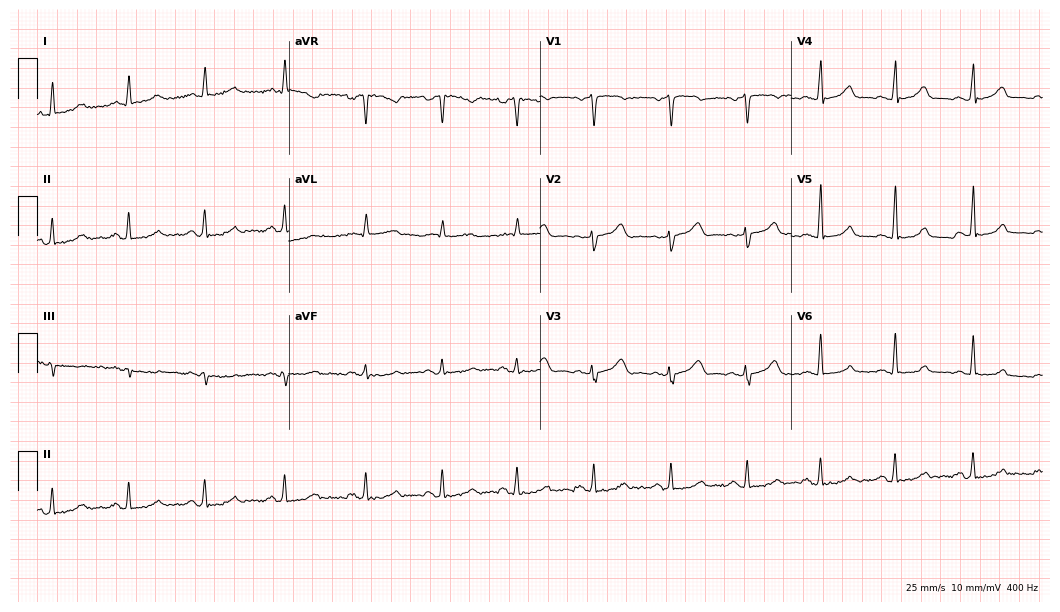
ECG — a female patient, 50 years old. Labelled as a normal ECG.